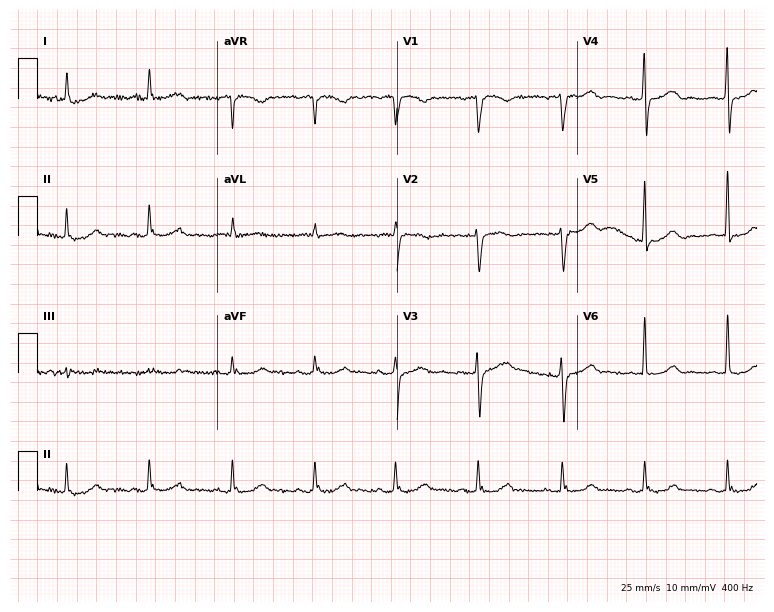
12-lead ECG from a male, 71 years old. Screened for six findings — first-degree AV block, right bundle branch block, left bundle branch block, sinus bradycardia, atrial fibrillation, sinus tachycardia — none is recorded. Findings outside these six are not listed.